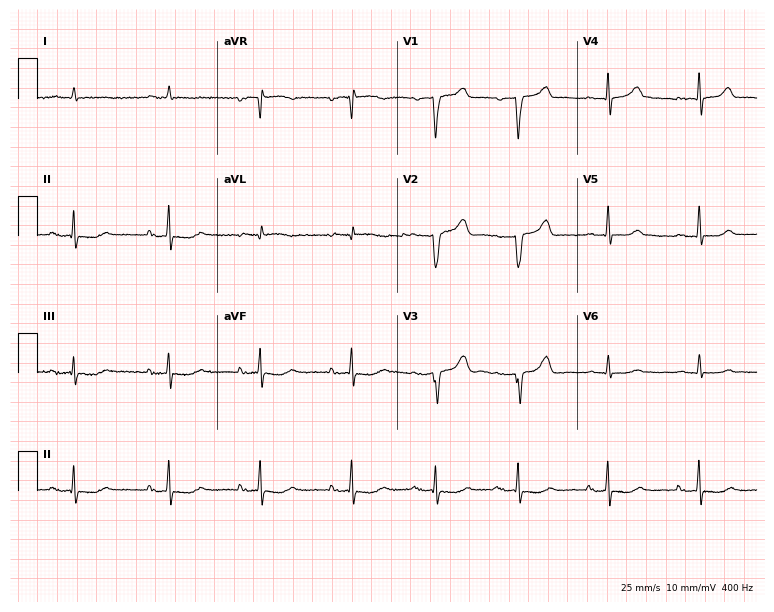
Standard 12-lead ECG recorded from a 75-year-old male (7.3-second recording at 400 Hz). The tracing shows first-degree AV block.